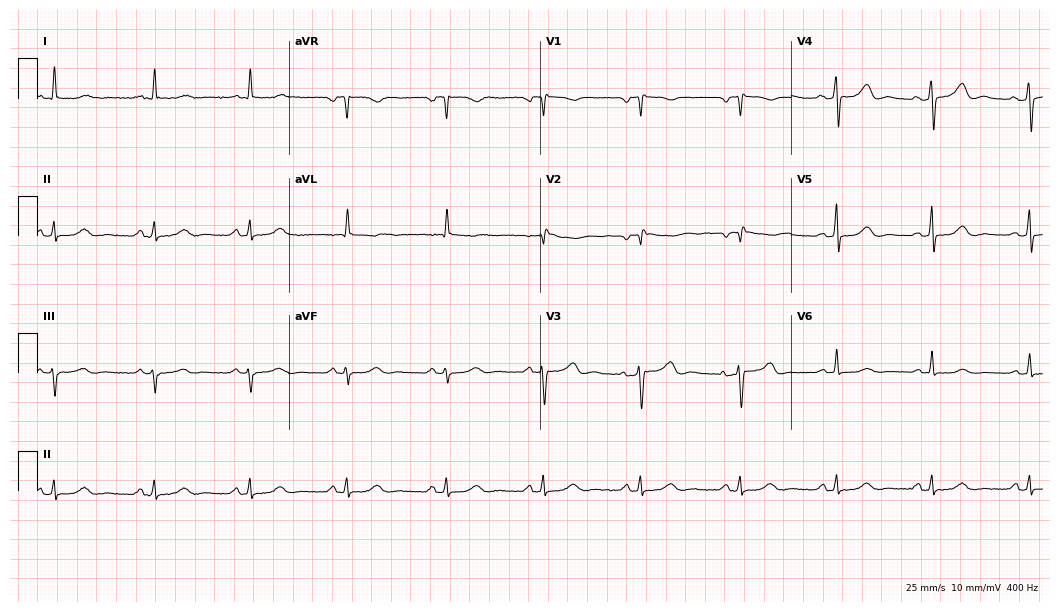
ECG (10.2-second recording at 400 Hz) — a woman, 53 years old. Screened for six findings — first-degree AV block, right bundle branch block (RBBB), left bundle branch block (LBBB), sinus bradycardia, atrial fibrillation (AF), sinus tachycardia — none is recorded.